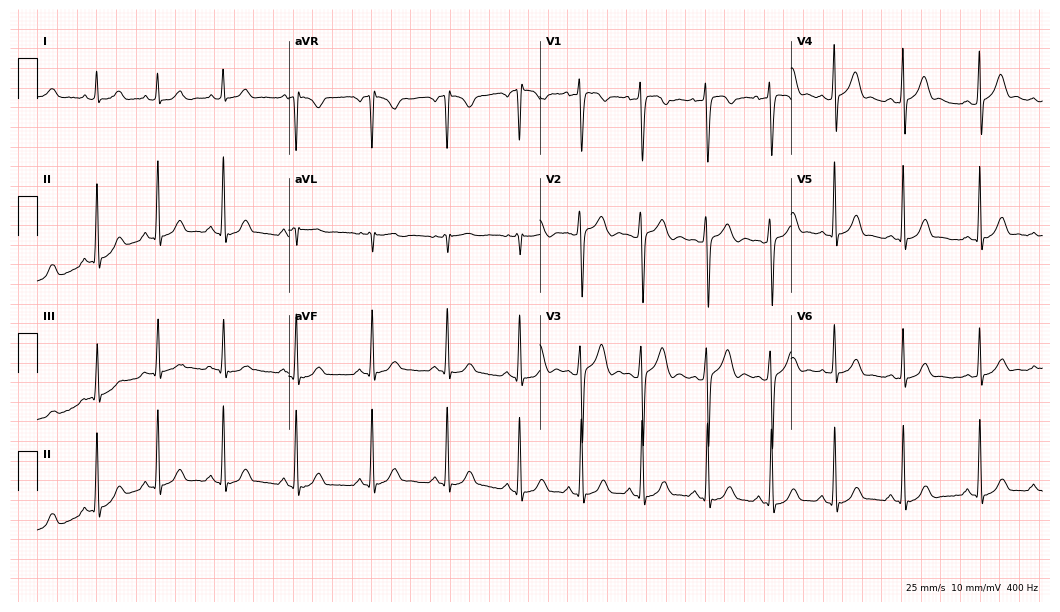
Resting 12-lead electrocardiogram. Patient: a female, 20 years old. Read as a normal ECG.